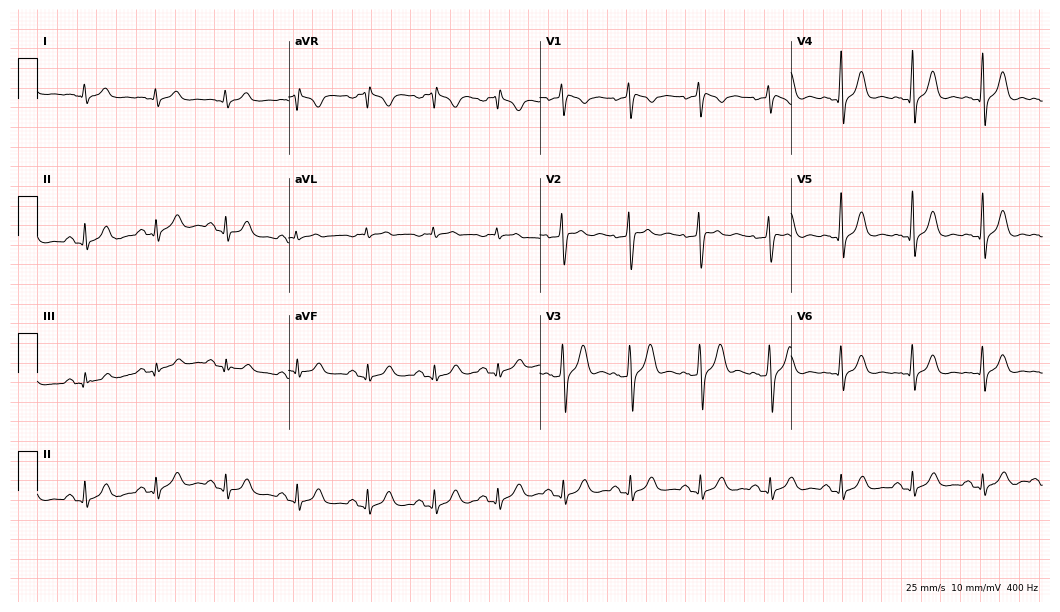
Resting 12-lead electrocardiogram (10.2-second recording at 400 Hz). Patient: a man, 38 years old. Read as a normal ECG.